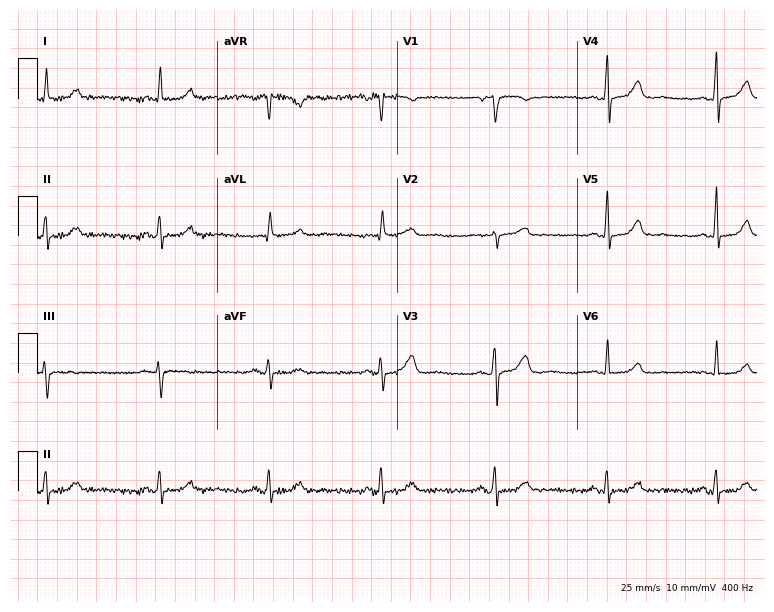
Resting 12-lead electrocardiogram. Patient: a woman, 70 years old. Read as a normal ECG.